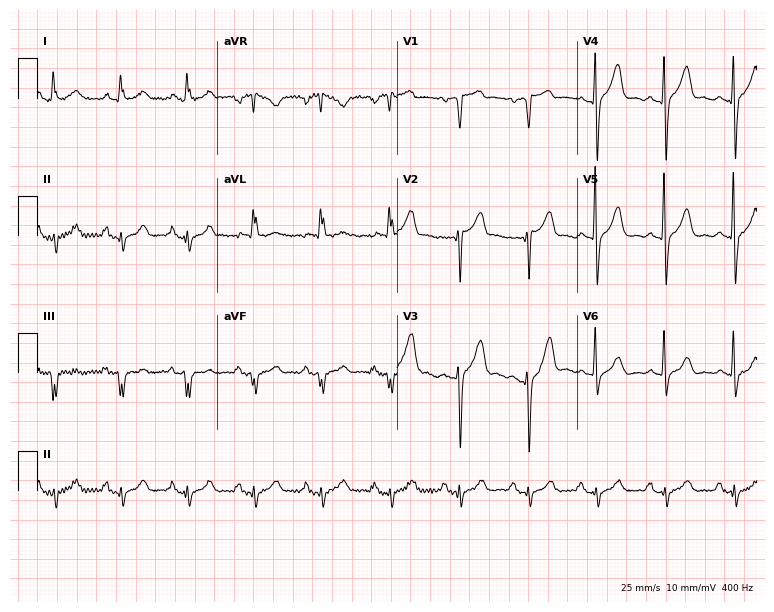
ECG — an 81-year-old male patient. Screened for six findings — first-degree AV block, right bundle branch block (RBBB), left bundle branch block (LBBB), sinus bradycardia, atrial fibrillation (AF), sinus tachycardia — none is recorded. Other findings, if any, are not listed.